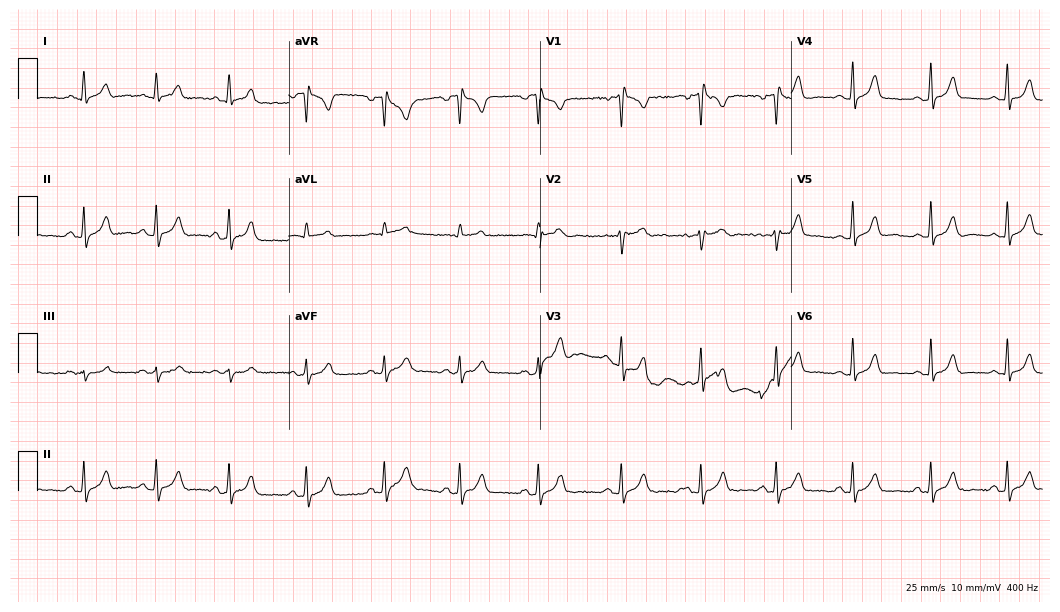
Resting 12-lead electrocardiogram (10.2-second recording at 400 Hz). Patient: a 23-year-old woman. None of these six findings is recorded: first-degree AV block, right bundle branch block, left bundle branch block, sinus bradycardia, atrial fibrillation, sinus tachycardia.